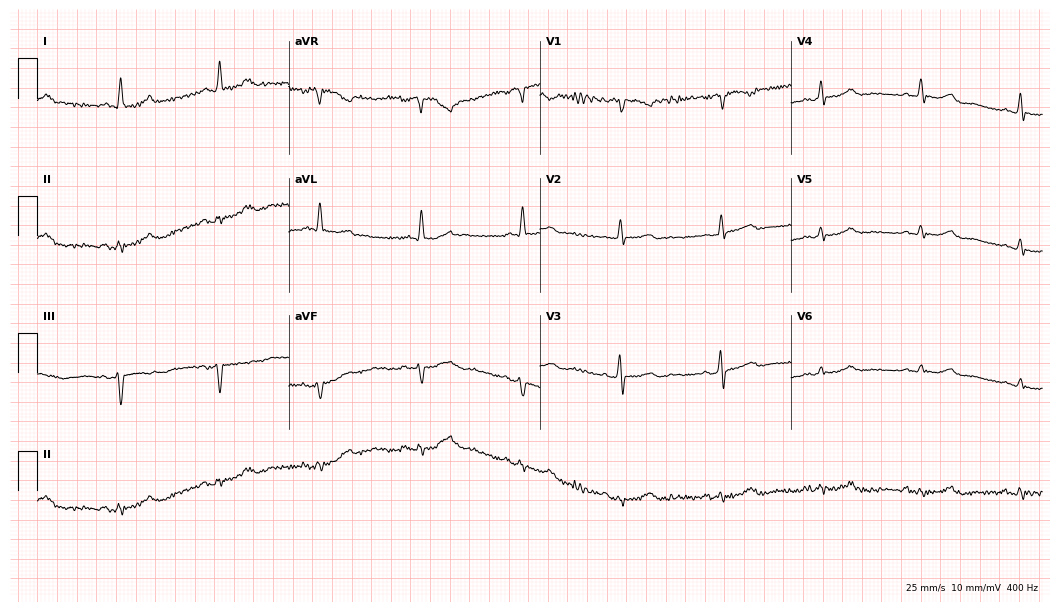
12-lead ECG from a woman, 76 years old. Screened for six findings — first-degree AV block, right bundle branch block, left bundle branch block, sinus bradycardia, atrial fibrillation, sinus tachycardia — none is recorded. Only these six findings were labelled.